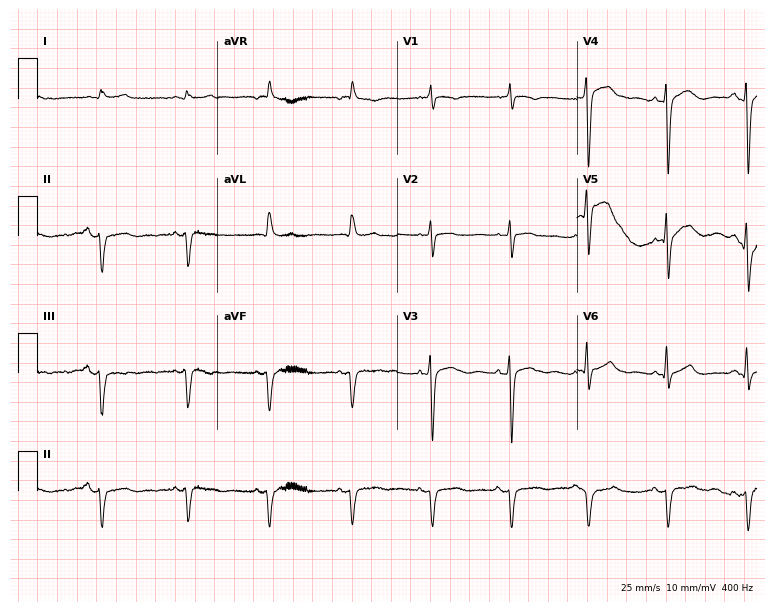
ECG — a man, 83 years old. Screened for six findings — first-degree AV block, right bundle branch block (RBBB), left bundle branch block (LBBB), sinus bradycardia, atrial fibrillation (AF), sinus tachycardia — none is recorded.